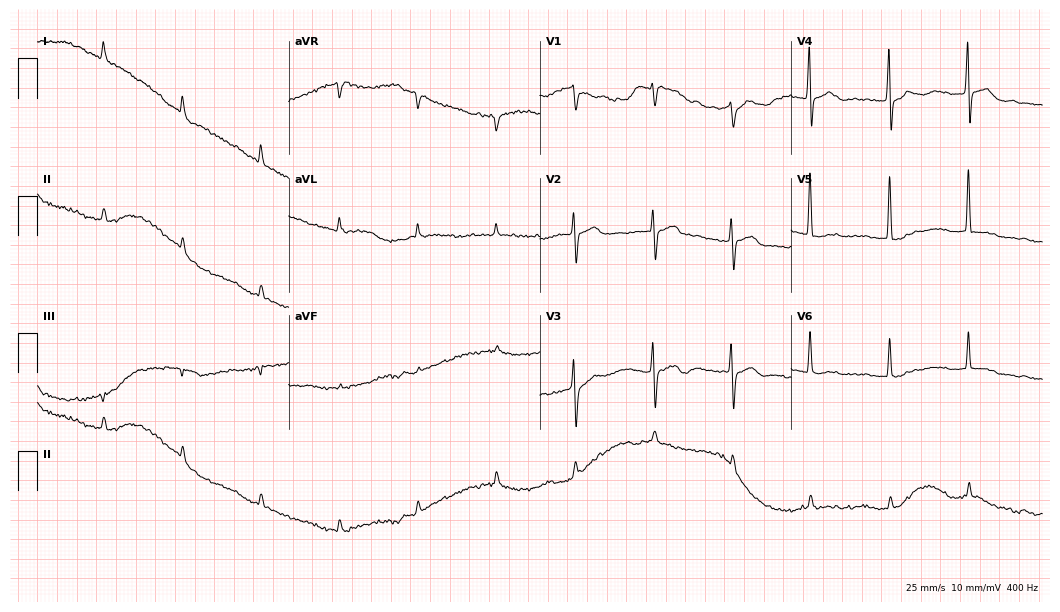
12-lead ECG from a male, 82 years old (10.2-second recording at 400 Hz). No first-degree AV block, right bundle branch block, left bundle branch block, sinus bradycardia, atrial fibrillation or sinus tachycardia recorded for this tracing. Findings outside these six are not listed.